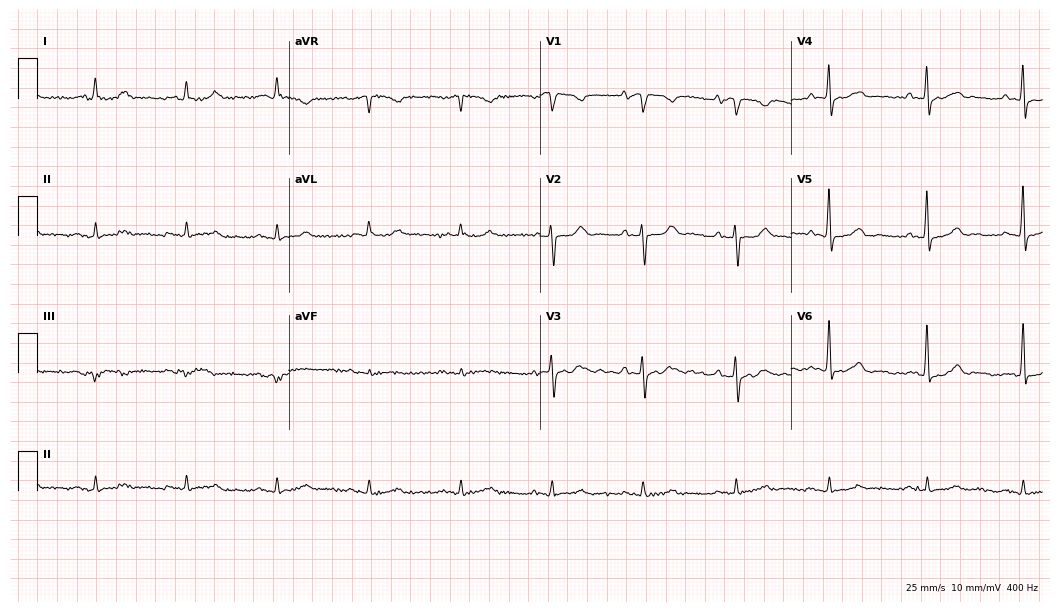
Standard 12-lead ECG recorded from a 77-year-old male patient. Read as a normal ECG.